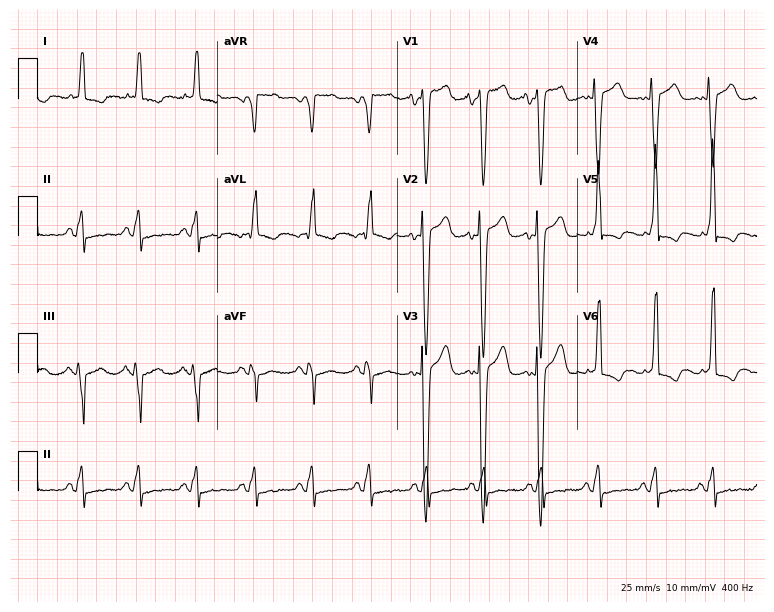
12-lead ECG from a male, 77 years old (7.3-second recording at 400 Hz). Shows sinus tachycardia (a sinus rate of 100 beats per minute or more).